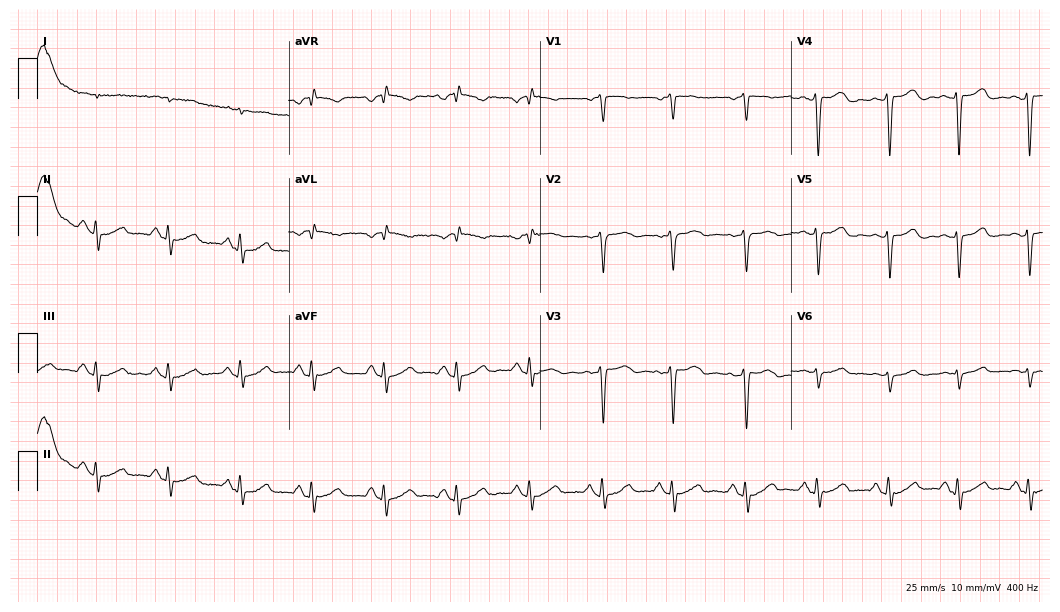
Electrocardiogram (10.2-second recording at 400 Hz), a 58-year-old male. Of the six screened findings (first-degree AV block, right bundle branch block, left bundle branch block, sinus bradycardia, atrial fibrillation, sinus tachycardia), none is recorded. Findings outside these six are not listed.